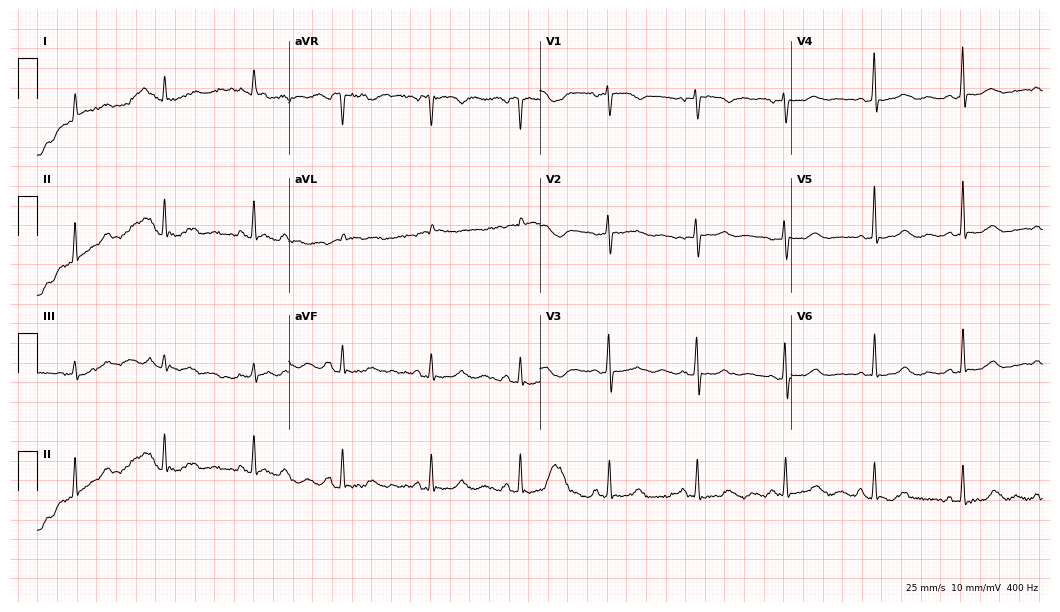
12-lead ECG from a female patient, 79 years old. Recorded interpretation: within normal limits.